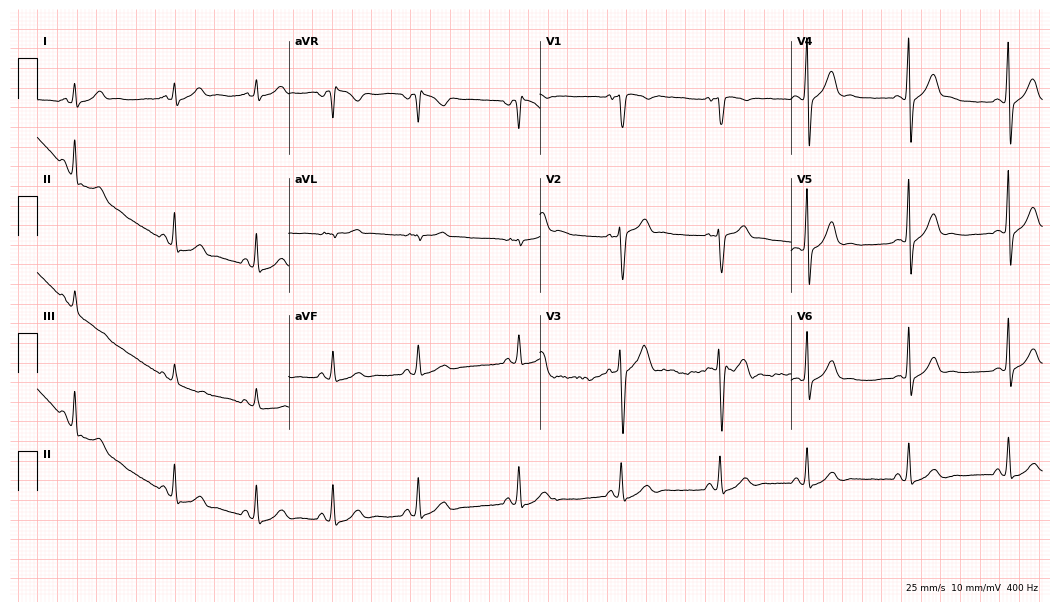
ECG (10.2-second recording at 400 Hz) — a male, 17 years old. Screened for six findings — first-degree AV block, right bundle branch block, left bundle branch block, sinus bradycardia, atrial fibrillation, sinus tachycardia — none is recorded.